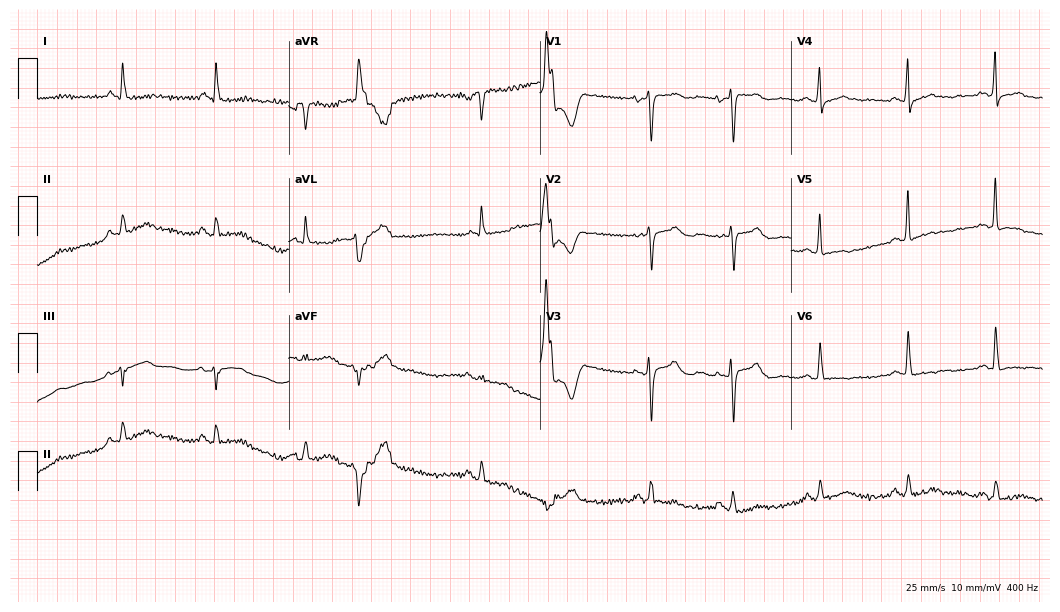
Standard 12-lead ECG recorded from a woman, 70 years old (10.2-second recording at 400 Hz). None of these six findings is recorded: first-degree AV block, right bundle branch block (RBBB), left bundle branch block (LBBB), sinus bradycardia, atrial fibrillation (AF), sinus tachycardia.